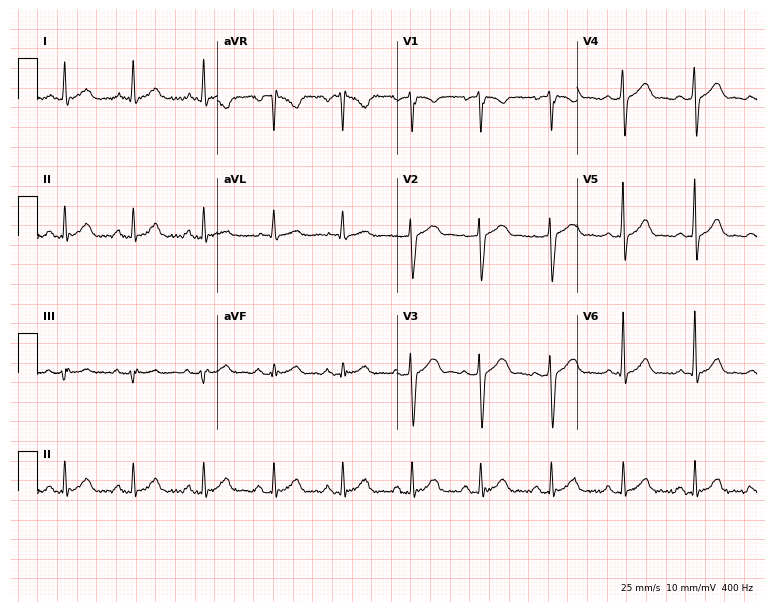
12-lead ECG from a man, 50 years old. Recorded interpretation: within normal limits.